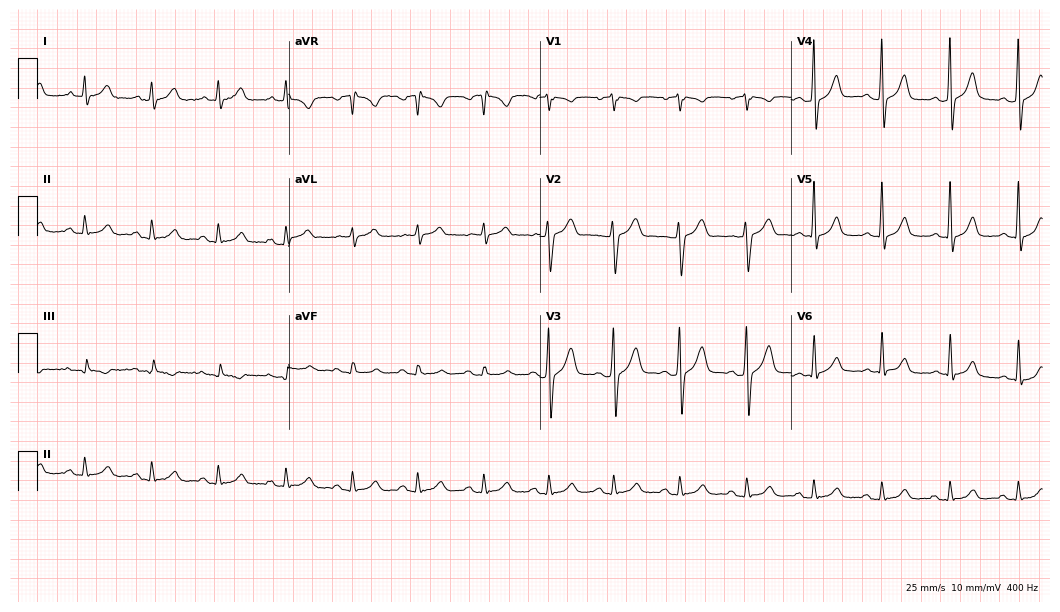
12-lead ECG from a male patient, 36 years old (10.2-second recording at 400 Hz). Recorded interpretation: within normal limits.